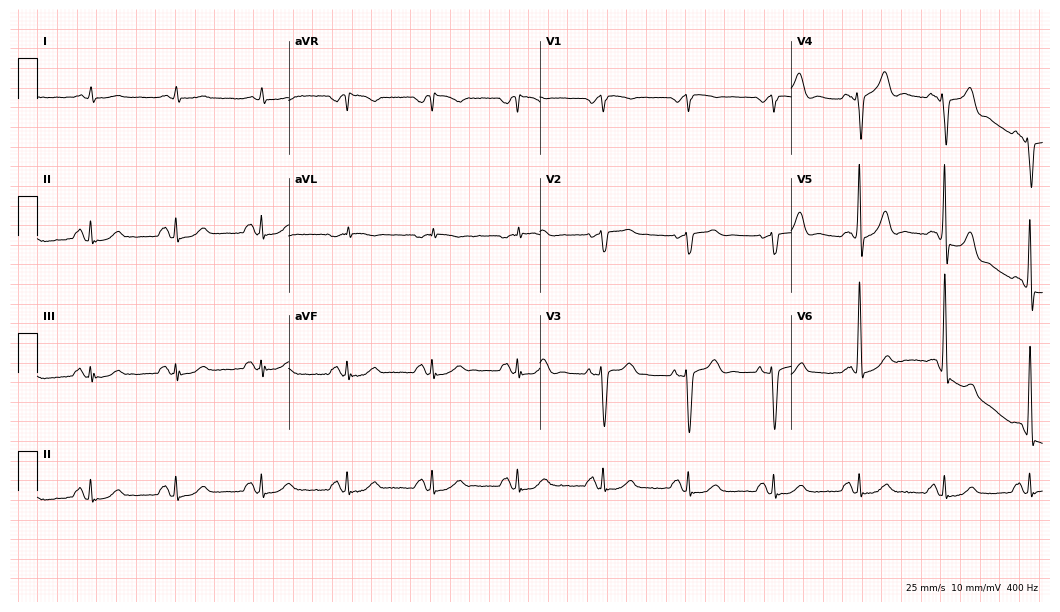
ECG — a male patient, 71 years old. Screened for six findings — first-degree AV block, right bundle branch block, left bundle branch block, sinus bradycardia, atrial fibrillation, sinus tachycardia — none is recorded.